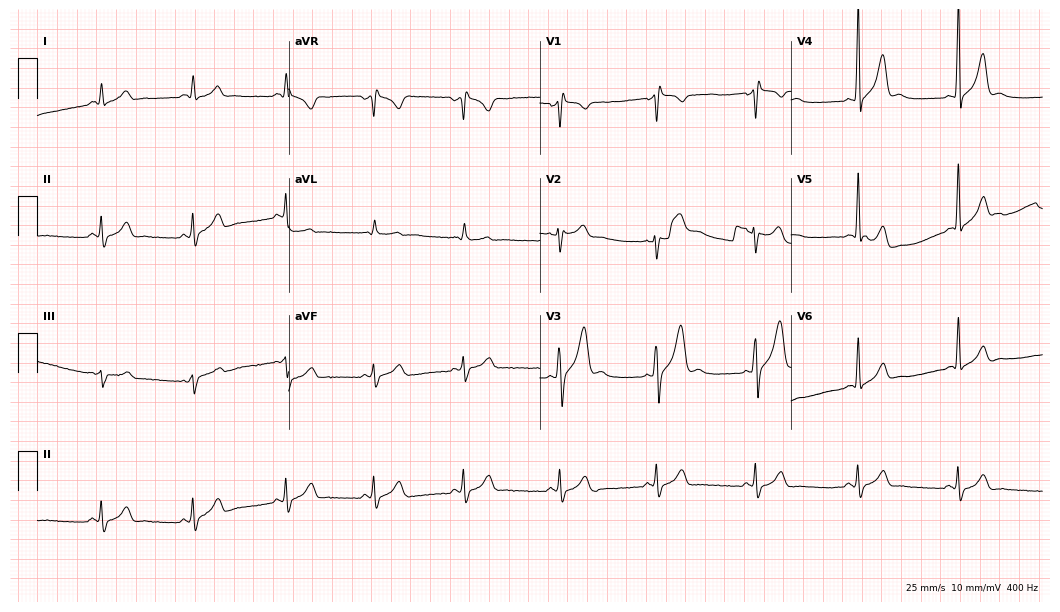
Standard 12-lead ECG recorded from a 26-year-old man. None of these six findings is recorded: first-degree AV block, right bundle branch block, left bundle branch block, sinus bradycardia, atrial fibrillation, sinus tachycardia. Only these six findings were labelled.